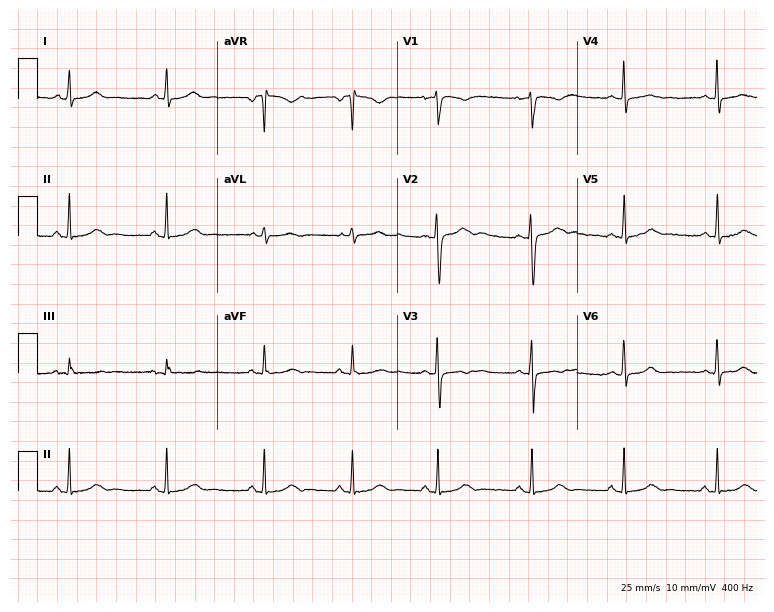
Resting 12-lead electrocardiogram. Patient: a woman, 23 years old. Read as a normal ECG.